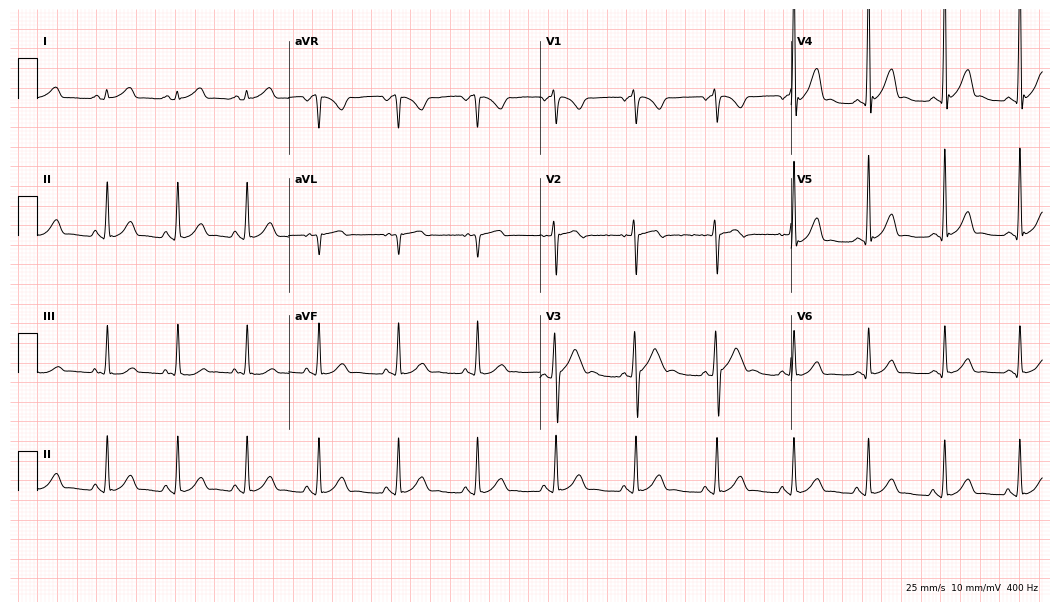
Resting 12-lead electrocardiogram. Patient: a 26-year-old male. Read as a normal ECG.